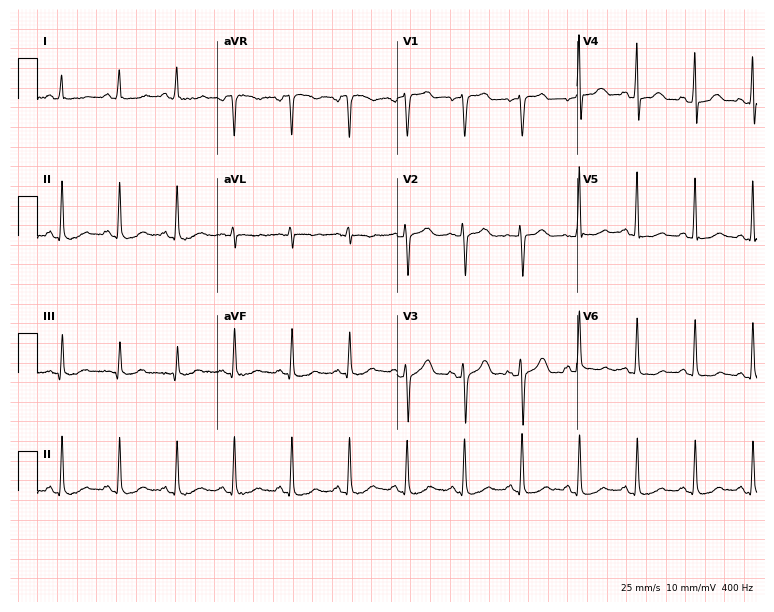
12-lead ECG from a 74-year-old woman (7.3-second recording at 400 Hz). Shows sinus tachycardia (a sinus rate of 100 beats per minute or more).